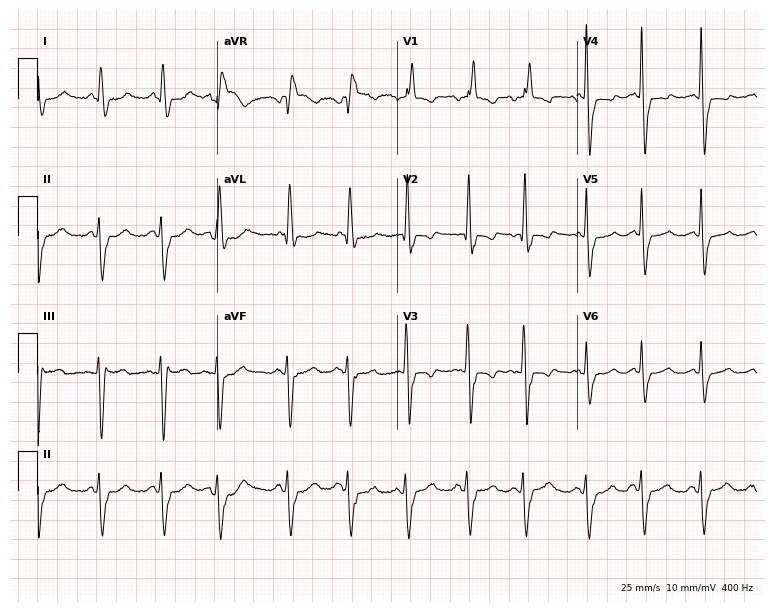
Resting 12-lead electrocardiogram (7.3-second recording at 400 Hz). Patient: a woman, 71 years old. The tracing shows right bundle branch block.